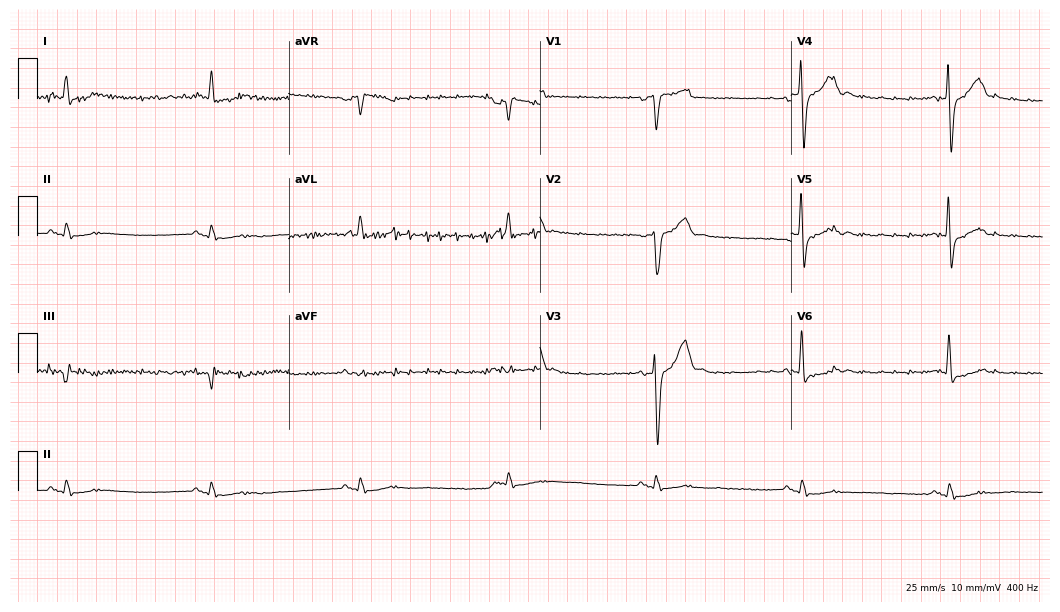
Resting 12-lead electrocardiogram (10.2-second recording at 400 Hz). Patient: a 75-year-old man. The tracing shows sinus bradycardia (a sinus rate of 50 beats per minute or less).